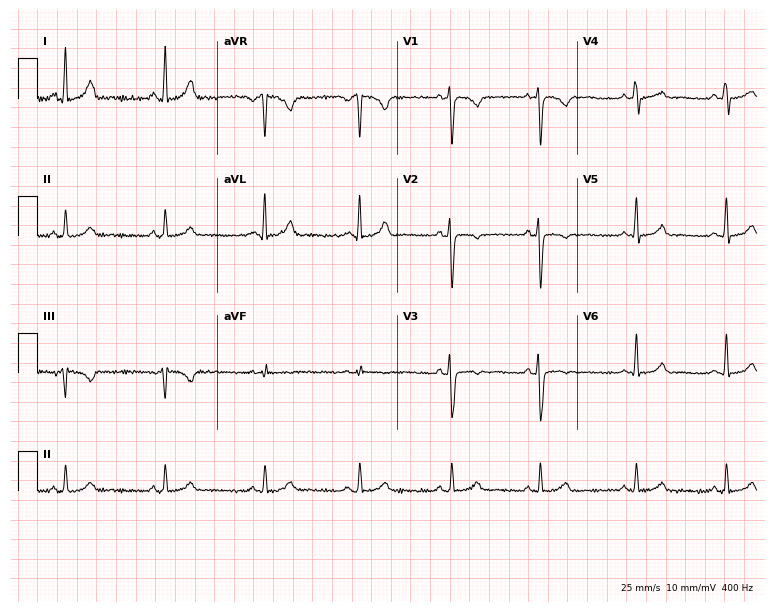
Resting 12-lead electrocardiogram. Patient: a 37-year-old female. Read as a normal ECG.